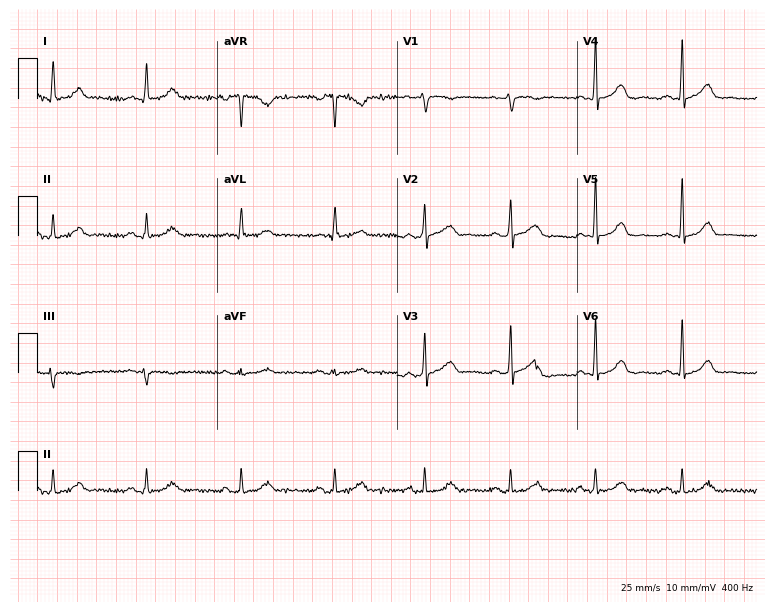
Standard 12-lead ECG recorded from a male, 48 years old (7.3-second recording at 400 Hz). Read as a normal ECG.